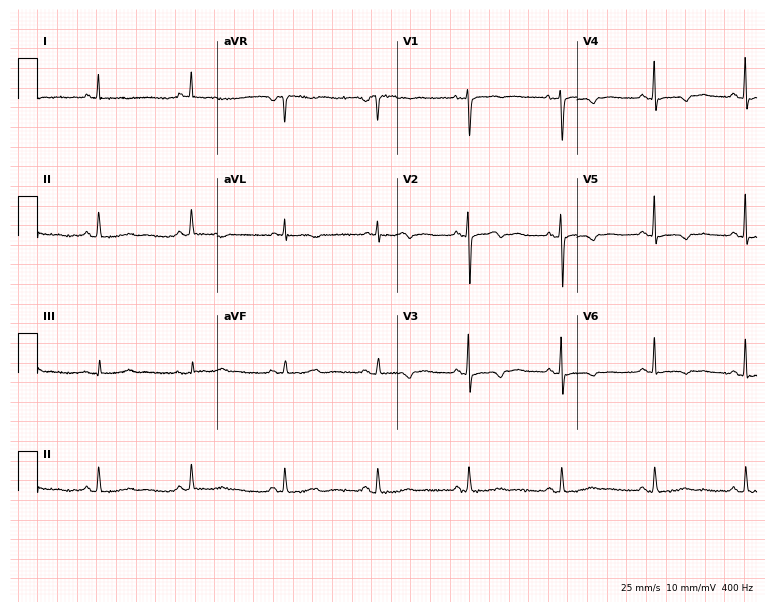
12-lead ECG from a 73-year-old female. Screened for six findings — first-degree AV block, right bundle branch block, left bundle branch block, sinus bradycardia, atrial fibrillation, sinus tachycardia — none is recorded. Other findings, if any, are not listed.